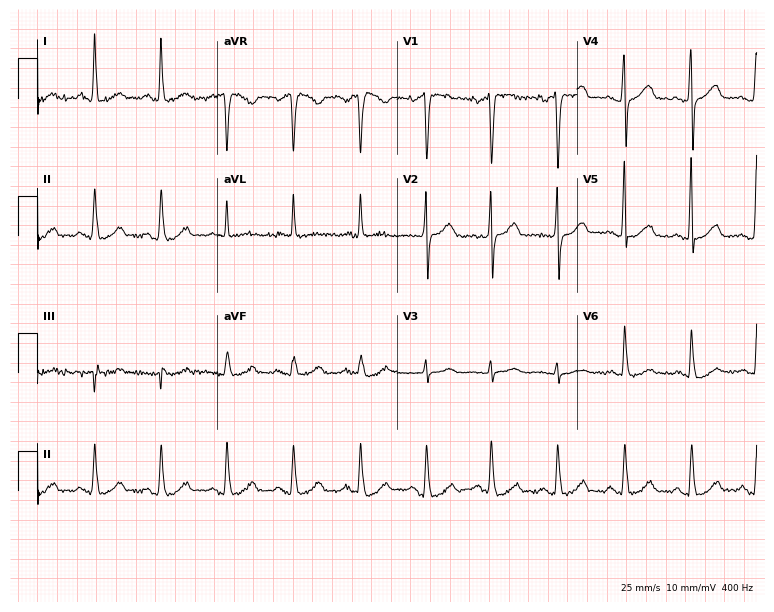
12-lead ECG (7.3-second recording at 400 Hz) from a woman, 57 years old. Screened for six findings — first-degree AV block, right bundle branch block, left bundle branch block, sinus bradycardia, atrial fibrillation, sinus tachycardia — none is recorded.